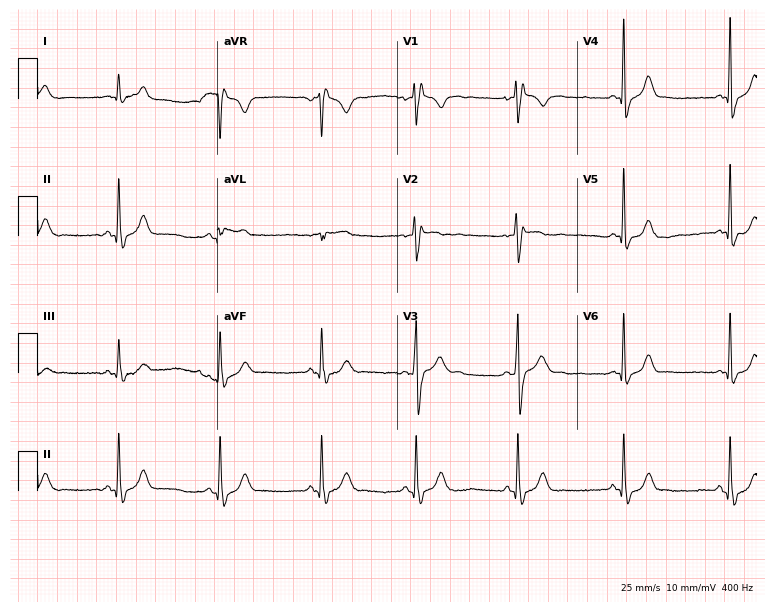
Standard 12-lead ECG recorded from a man, 33 years old. None of these six findings is recorded: first-degree AV block, right bundle branch block, left bundle branch block, sinus bradycardia, atrial fibrillation, sinus tachycardia.